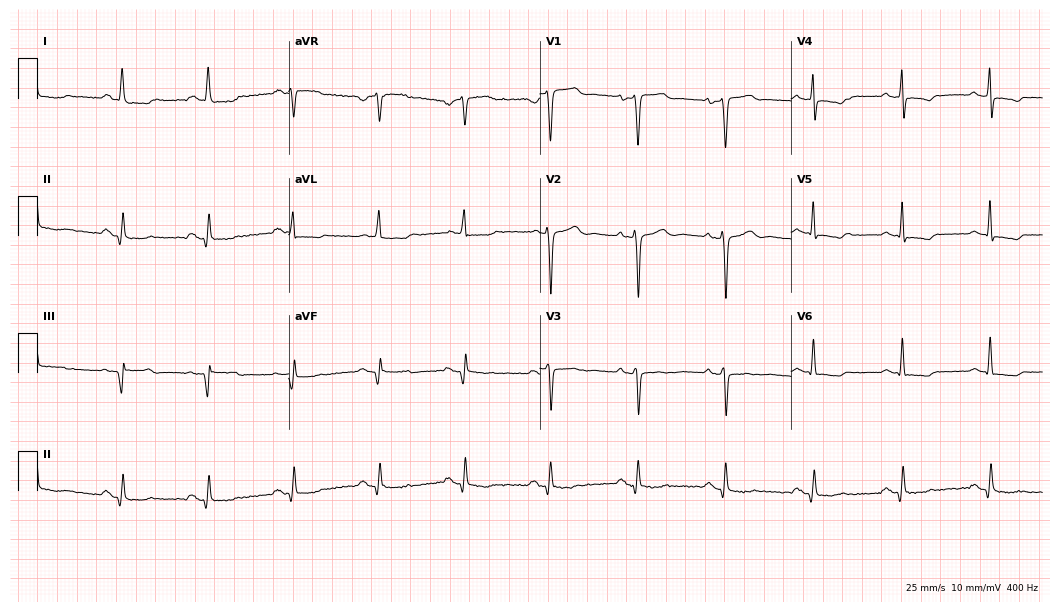
12-lead ECG from a male patient, 58 years old. Screened for six findings — first-degree AV block, right bundle branch block, left bundle branch block, sinus bradycardia, atrial fibrillation, sinus tachycardia — none is recorded.